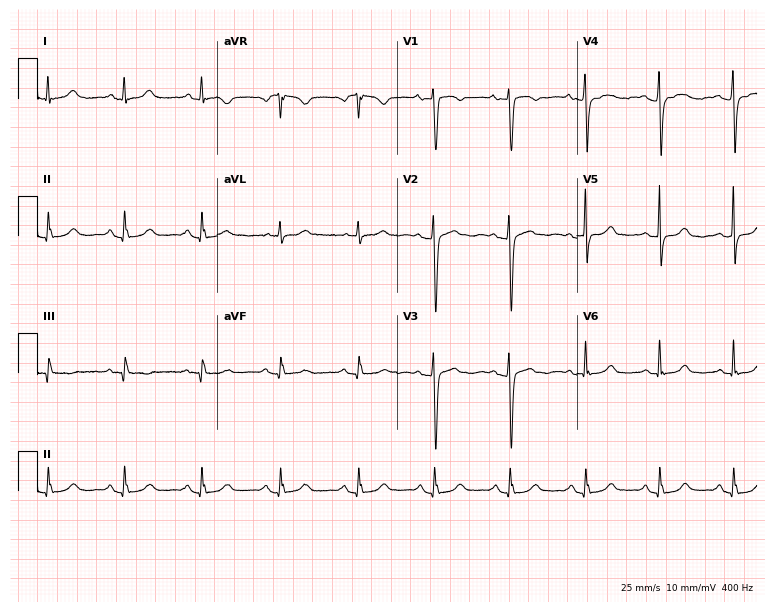
Standard 12-lead ECG recorded from a female, 48 years old (7.3-second recording at 400 Hz). Read as a normal ECG.